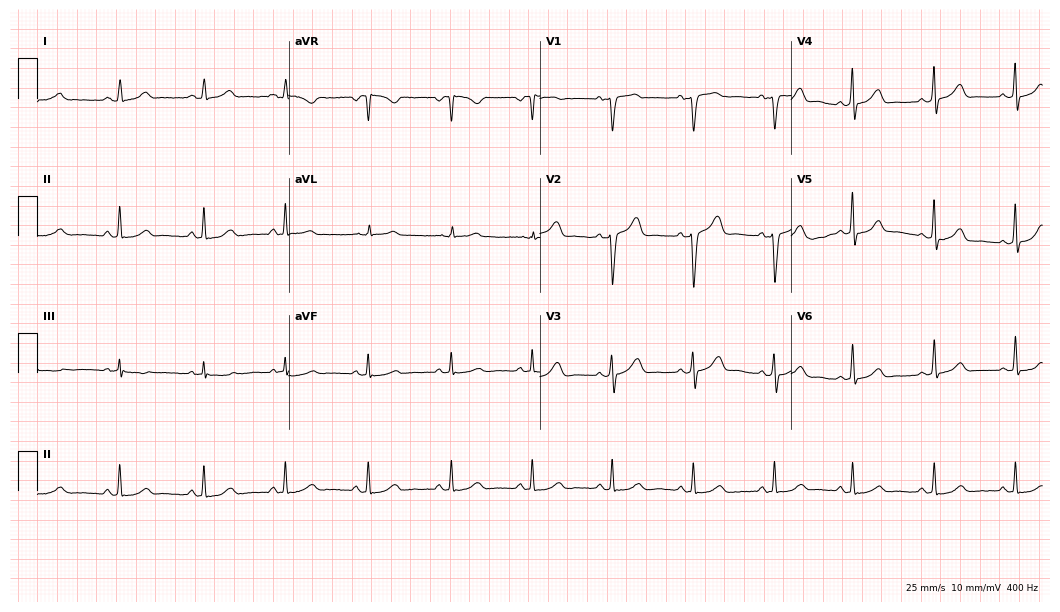
12-lead ECG (10.2-second recording at 400 Hz) from a 46-year-old female. Screened for six findings — first-degree AV block, right bundle branch block, left bundle branch block, sinus bradycardia, atrial fibrillation, sinus tachycardia — none is recorded. Only these six findings were labelled.